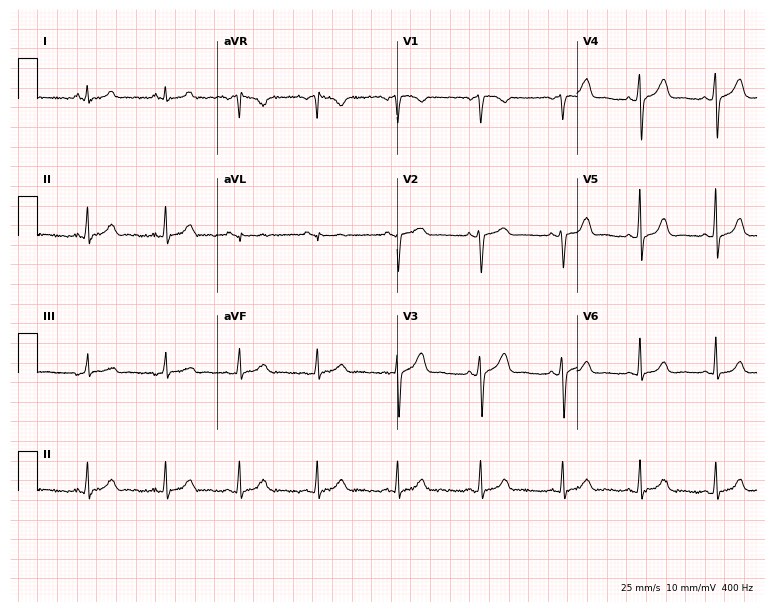
Standard 12-lead ECG recorded from a 32-year-old woman (7.3-second recording at 400 Hz). Read as a normal ECG.